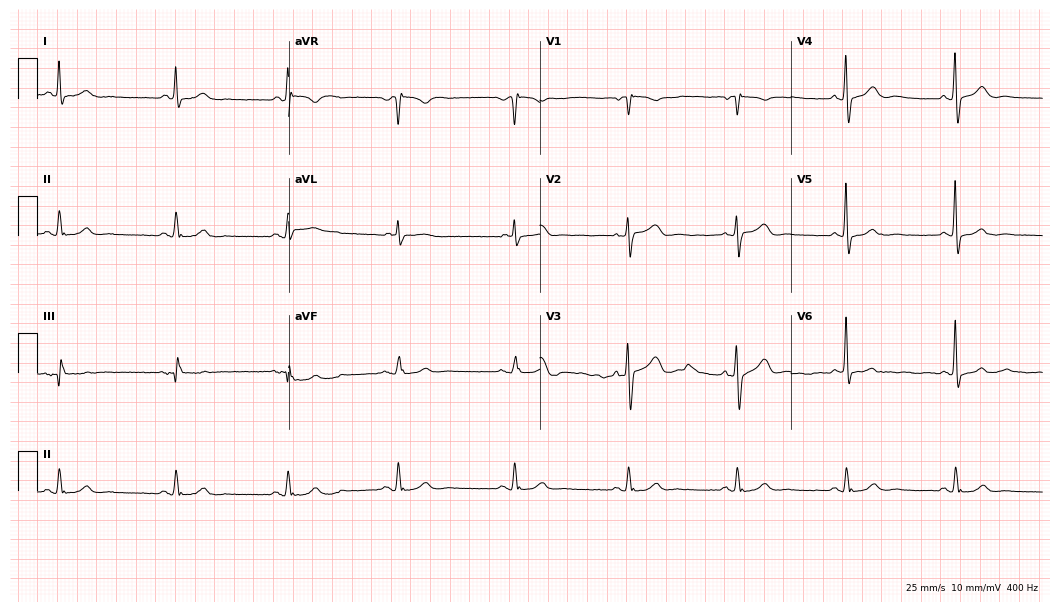
12-lead ECG from a man, 68 years old. Labelled as a normal ECG.